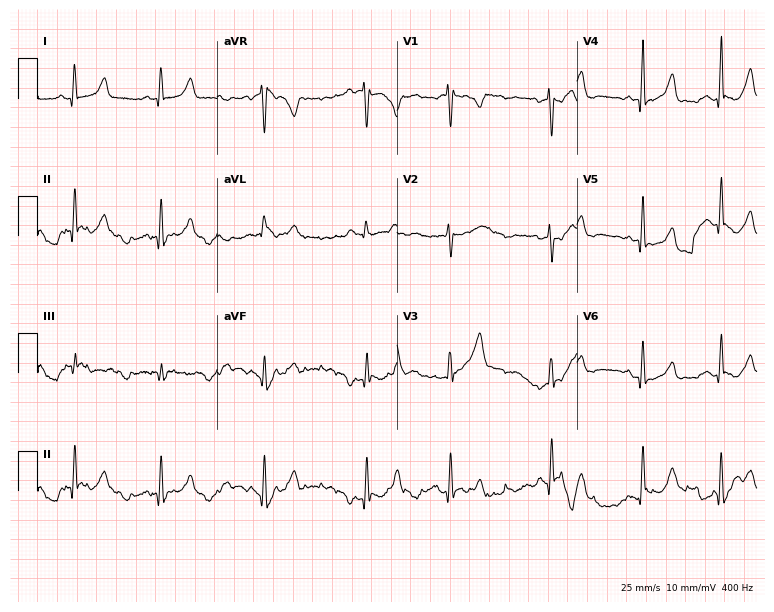
12-lead ECG from a woman, 25 years old. No first-degree AV block, right bundle branch block, left bundle branch block, sinus bradycardia, atrial fibrillation or sinus tachycardia recorded for this tracing.